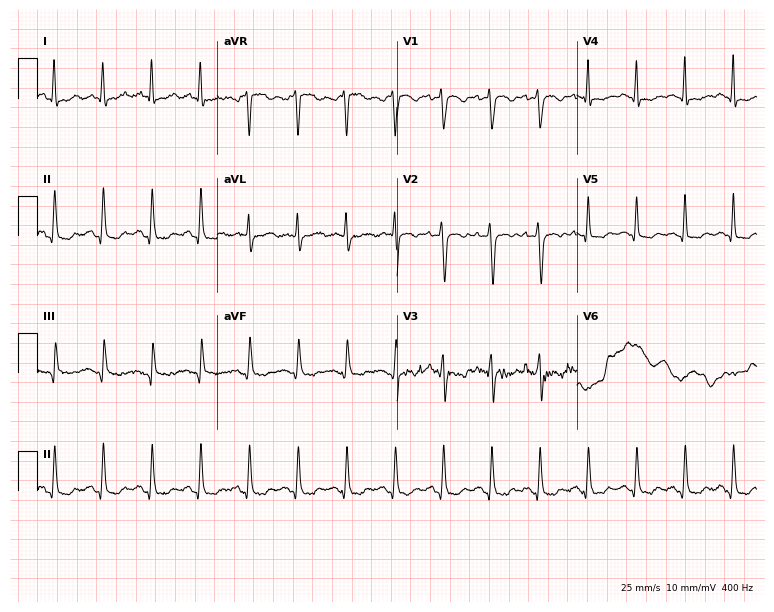
Standard 12-lead ECG recorded from a 66-year-old female. The tracing shows sinus tachycardia (a sinus rate of 100 beats per minute or more).